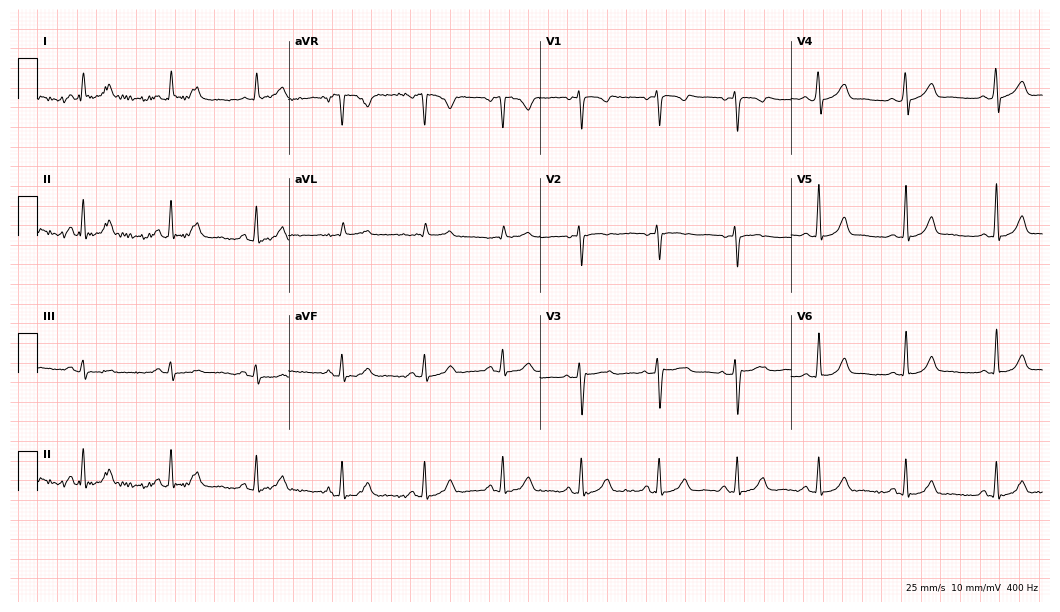
Resting 12-lead electrocardiogram (10.2-second recording at 400 Hz). Patient: a 43-year-old female. Read as a normal ECG.